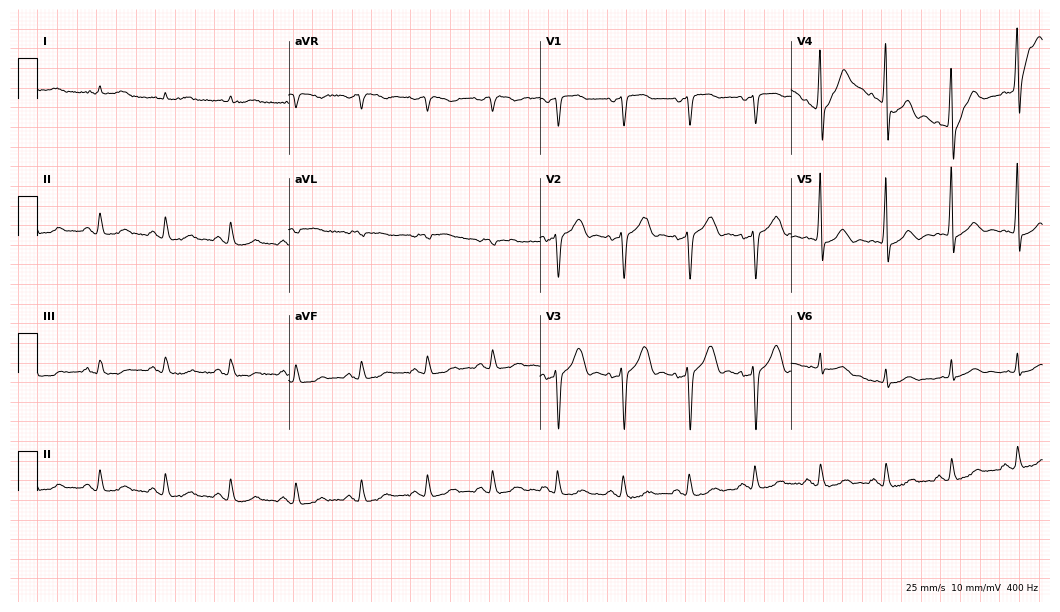
Resting 12-lead electrocardiogram (10.2-second recording at 400 Hz). Patient: an 82-year-old male. Read as a normal ECG.